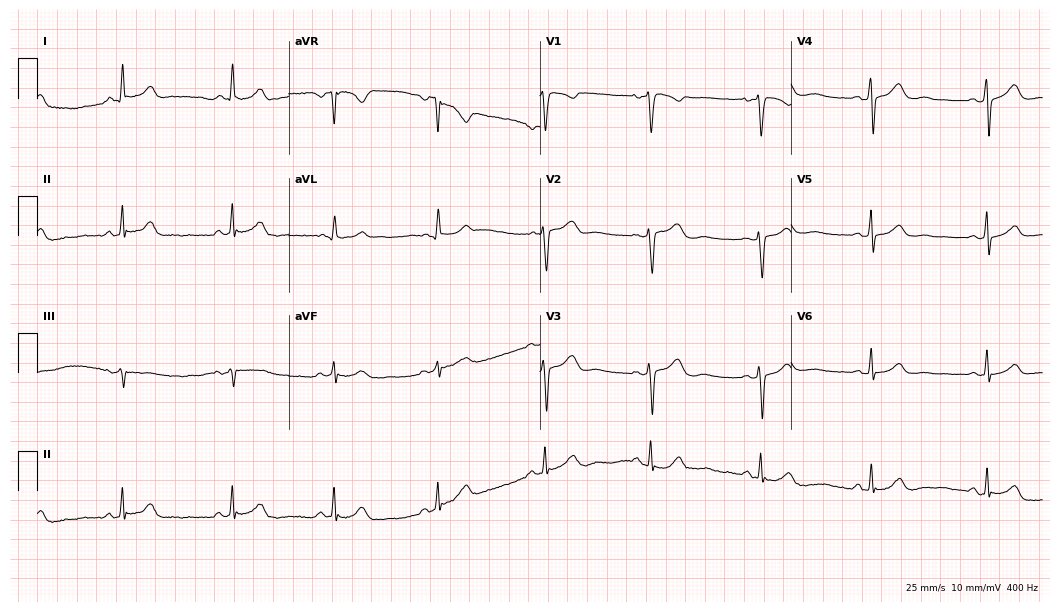
ECG (10.2-second recording at 400 Hz) — a female, 38 years old. Labelled as a normal ECG.